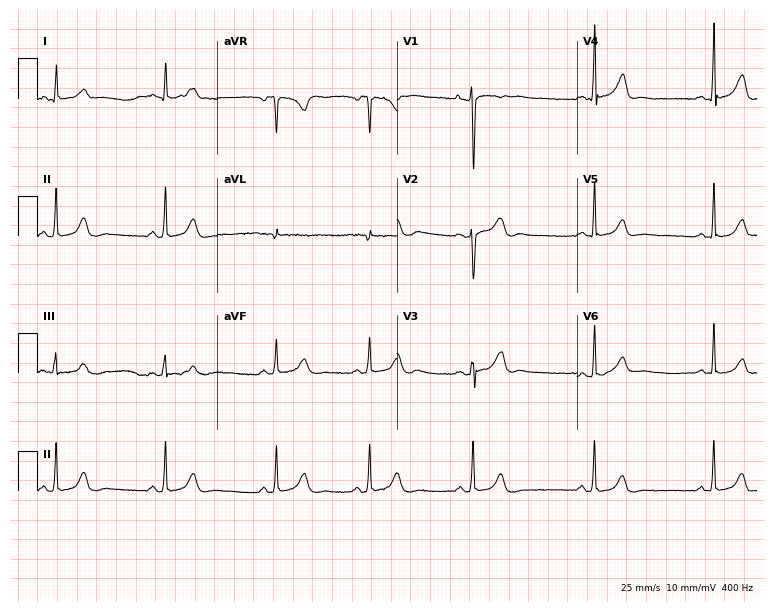
ECG — a female, 22 years old. Screened for six findings — first-degree AV block, right bundle branch block, left bundle branch block, sinus bradycardia, atrial fibrillation, sinus tachycardia — none is recorded. Findings outside these six are not listed.